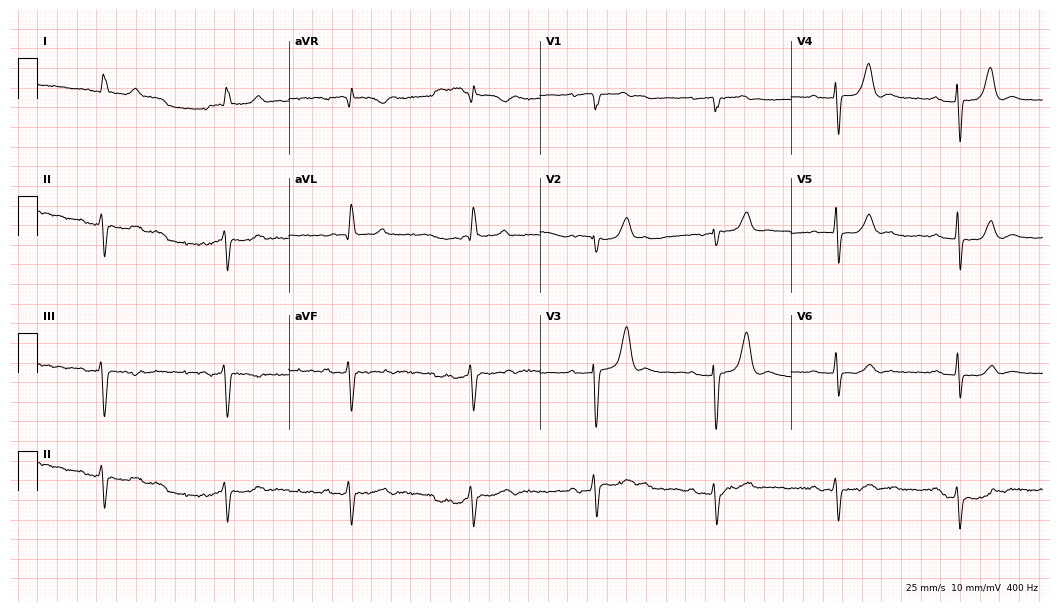
ECG — a male patient, 86 years old. Findings include sinus bradycardia (a sinus rate of 50 beats per minute or less).